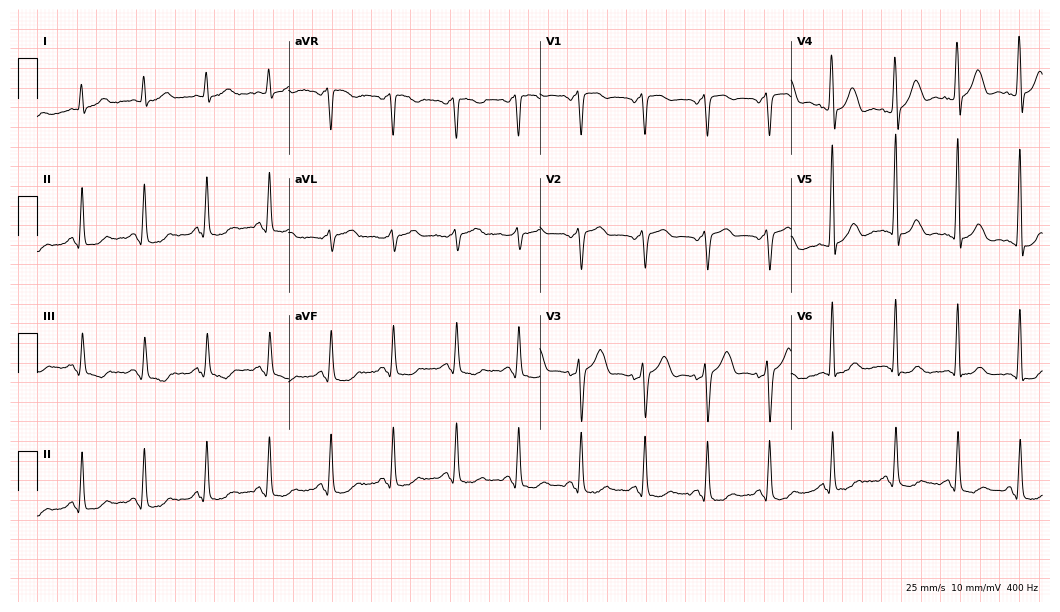
Electrocardiogram, a male patient, 65 years old. Of the six screened findings (first-degree AV block, right bundle branch block, left bundle branch block, sinus bradycardia, atrial fibrillation, sinus tachycardia), none is recorded. Other findings, if any, are not listed.